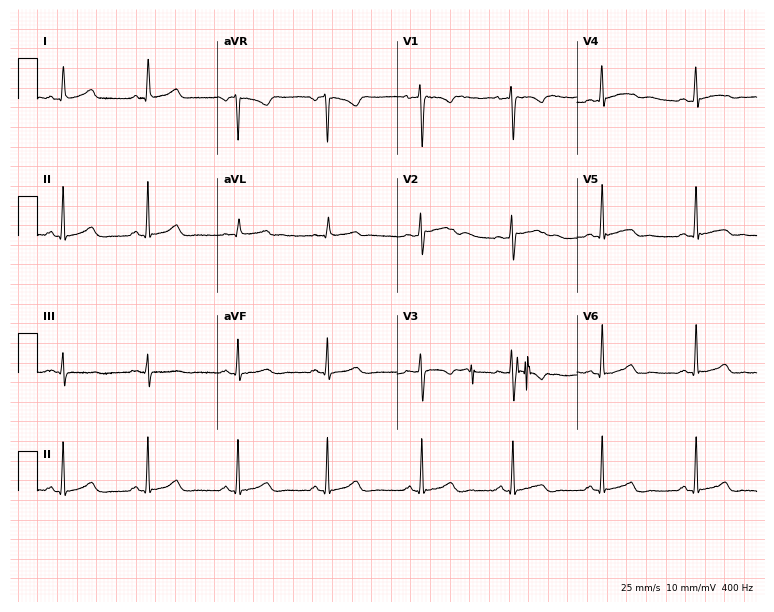
Electrocardiogram (7.3-second recording at 400 Hz), a 36-year-old female patient. Of the six screened findings (first-degree AV block, right bundle branch block, left bundle branch block, sinus bradycardia, atrial fibrillation, sinus tachycardia), none is recorded. Only these six findings were labelled.